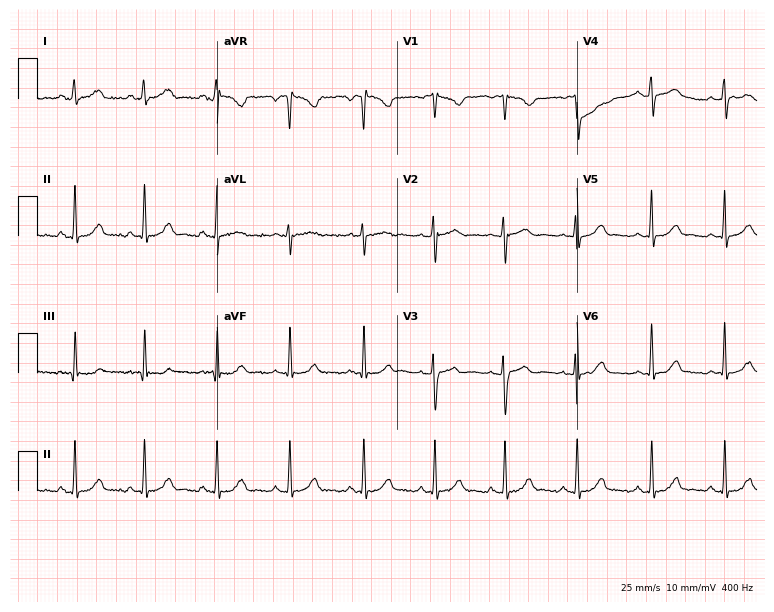
Standard 12-lead ECG recorded from a 26-year-old female. Read as a normal ECG.